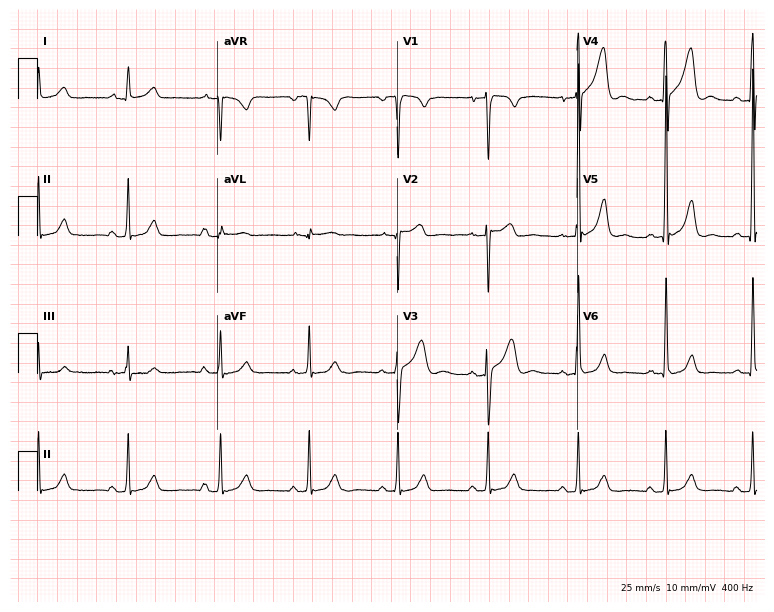
Resting 12-lead electrocardiogram (7.3-second recording at 400 Hz). Patient: a 49-year-old man. None of these six findings is recorded: first-degree AV block, right bundle branch block, left bundle branch block, sinus bradycardia, atrial fibrillation, sinus tachycardia. Only these six findings were labelled.